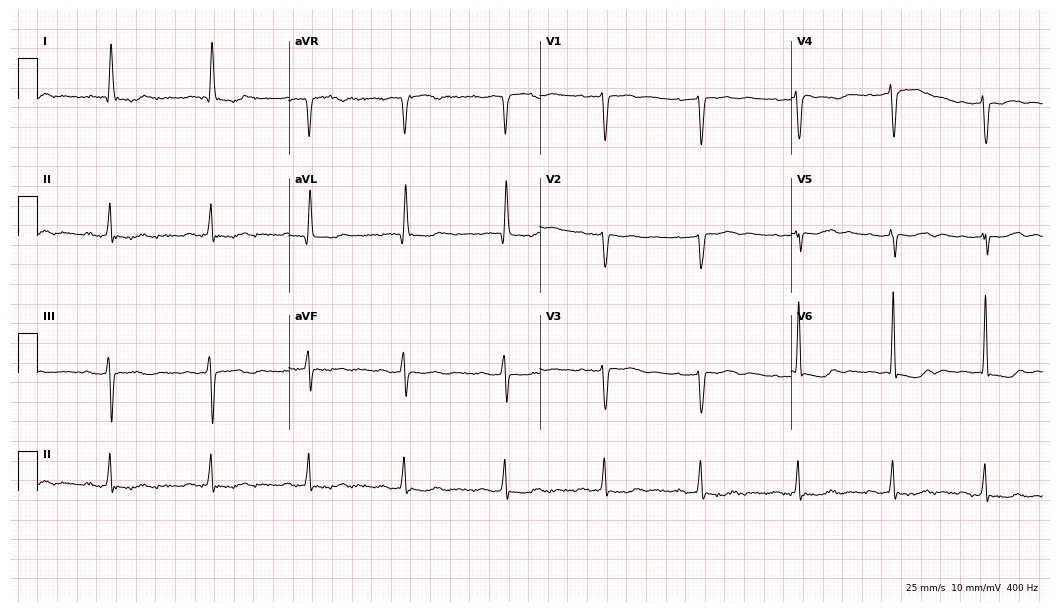
Standard 12-lead ECG recorded from a woman, 77 years old. None of these six findings is recorded: first-degree AV block, right bundle branch block, left bundle branch block, sinus bradycardia, atrial fibrillation, sinus tachycardia.